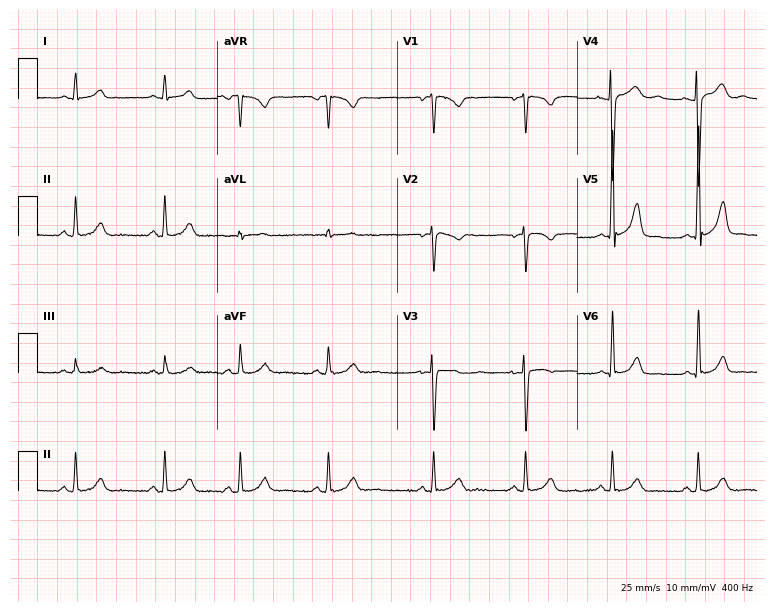
Electrocardiogram, an 18-year-old female patient. Of the six screened findings (first-degree AV block, right bundle branch block (RBBB), left bundle branch block (LBBB), sinus bradycardia, atrial fibrillation (AF), sinus tachycardia), none is recorded. Other findings, if any, are not listed.